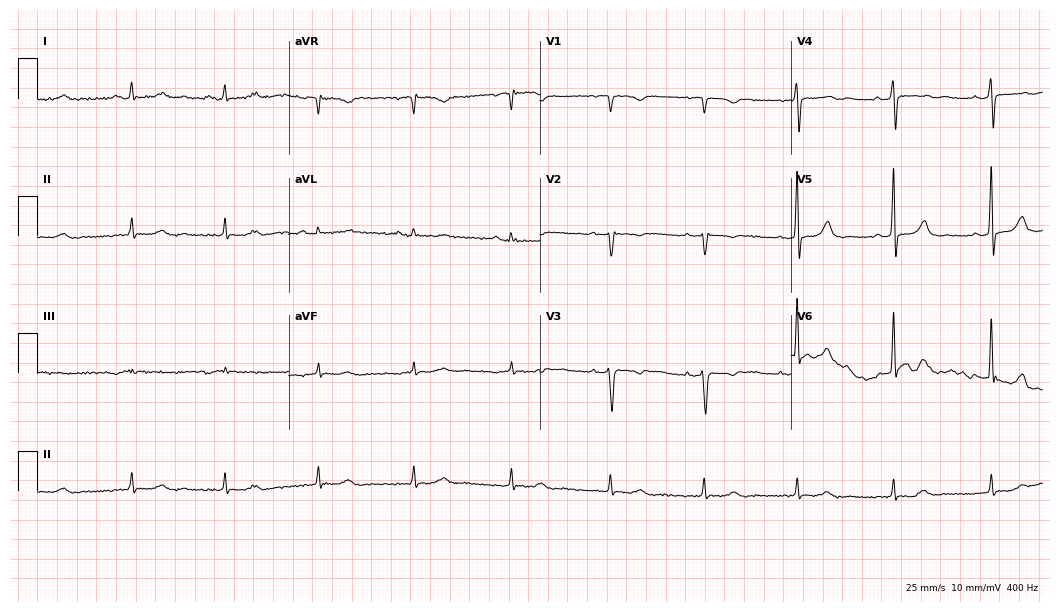
ECG — a 63-year-old female patient. Screened for six findings — first-degree AV block, right bundle branch block (RBBB), left bundle branch block (LBBB), sinus bradycardia, atrial fibrillation (AF), sinus tachycardia — none is recorded. Findings outside these six are not listed.